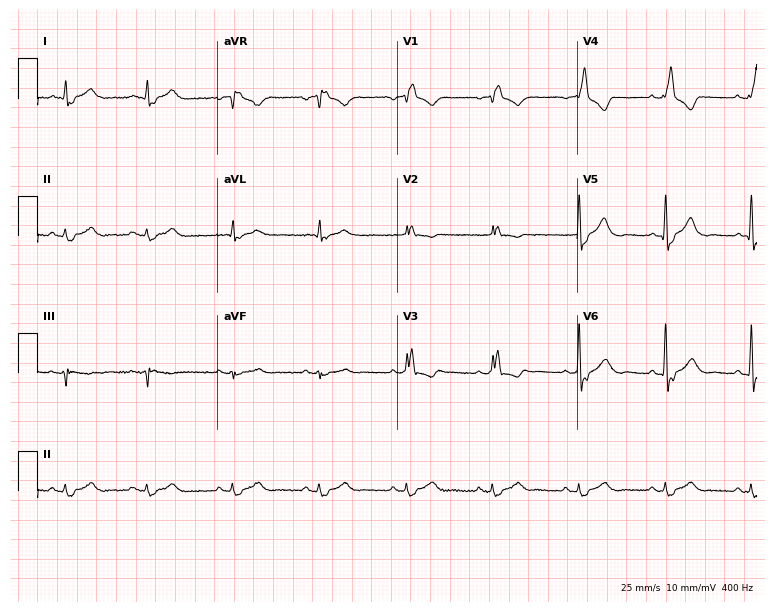
Electrocardiogram, a male patient, 84 years old. Of the six screened findings (first-degree AV block, right bundle branch block, left bundle branch block, sinus bradycardia, atrial fibrillation, sinus tachycardia), none is recorded. Findings outside these six are not listed.